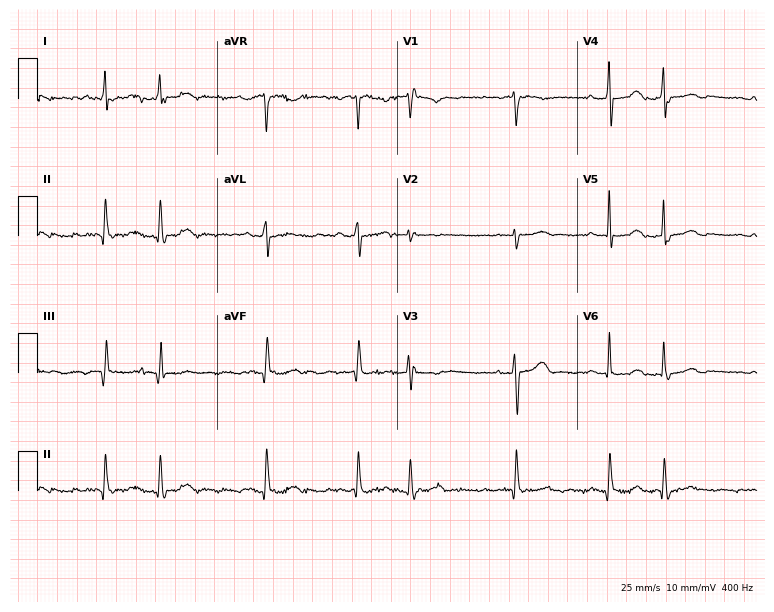
12-lead ECG from an 81-year-old woman. Screened for six findings — first-degree AV block, right bundle branch block, left bundle branch block, sinus bradycardia, atrial fibrillation, sinus tachycardia — none is recorded.